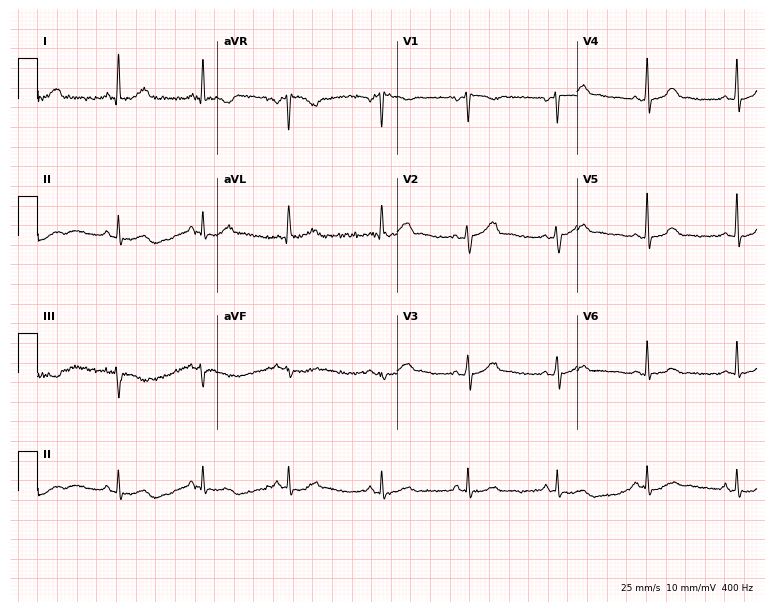
Standard 12-lead ECG recorded from a female, 40 years old. None of these six findings is recorded: first-degree AV block, right bundle branch block, left bundle branch block, sinus bradycardia, atrial fibrillation, sinus tachycardia.